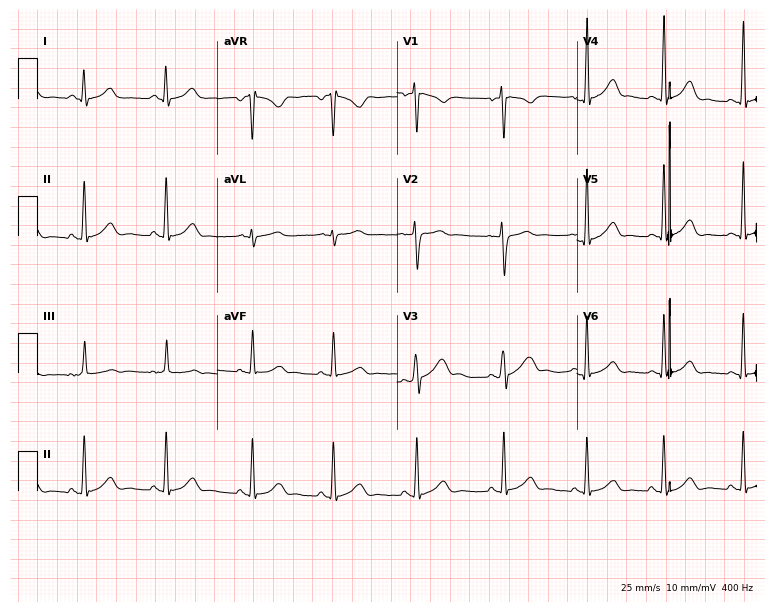
Electrocardiogram, a 27-year-old female. Of the six screened findings (first-degree AV block, right bundle branch block, left bundle branch block, sinus bradycardia, atrial fibrillation, sinus tachycardia), none is recorded. Only these six findings were labelled.